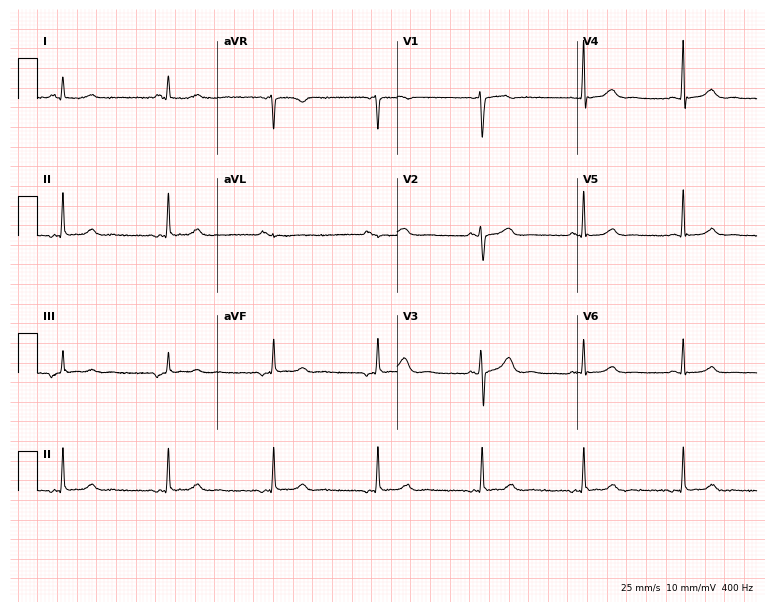
Resting 12-lead electrocardiogram (7.3-second recording at 400 Hz). Patient: a 46-year-old female. None of these six findings is recorded: first-degree AV block, right bundle branch block, left bundle branch block, sinus bradycardia, atrial fibrillation, sinus tachycardia. Only these six findings were labelled.